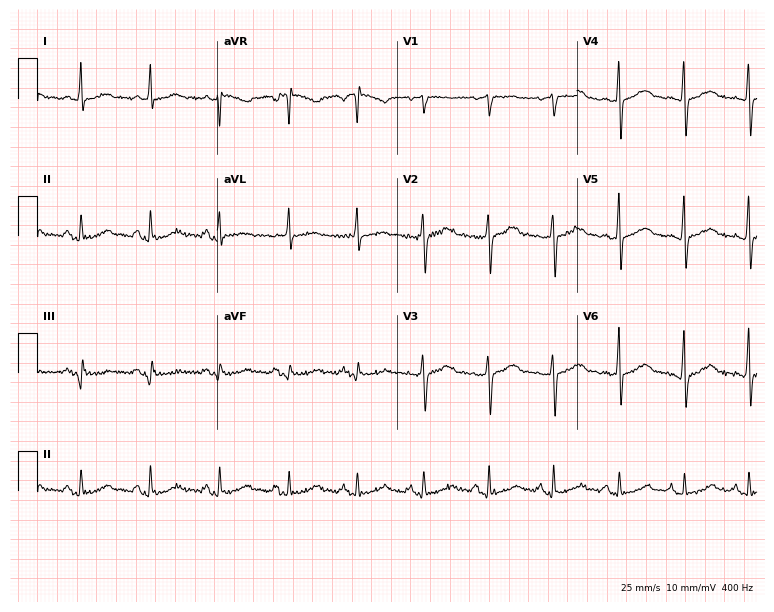
ECG — a woman, 41 years old. Labelled as a normal ECG.